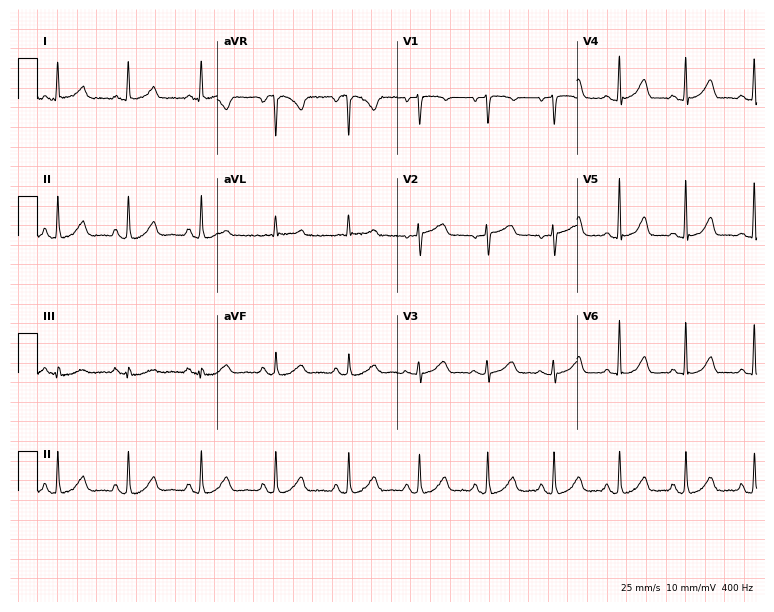
Electrocardiogram (7.3-second recording at 400 Hz), a male patient, 81 years old. Overall reading on record: normal ECG.